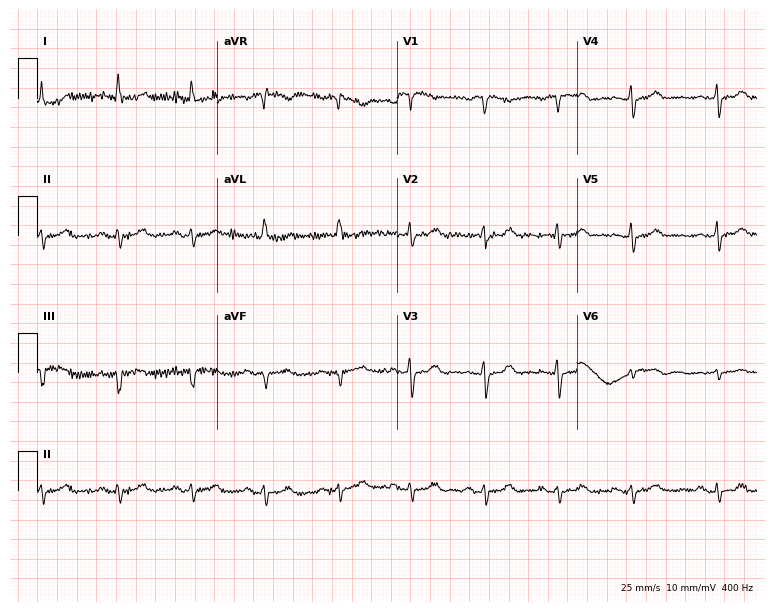
ECG — a 75-year-old female patient. Screened for six findings — first-degree AV block, right bundle branch block, left bundle branch block, sinus bradycardia, atrial fibrillation, sinus tachycardia — none is recorded. Only these six findings were labelled.